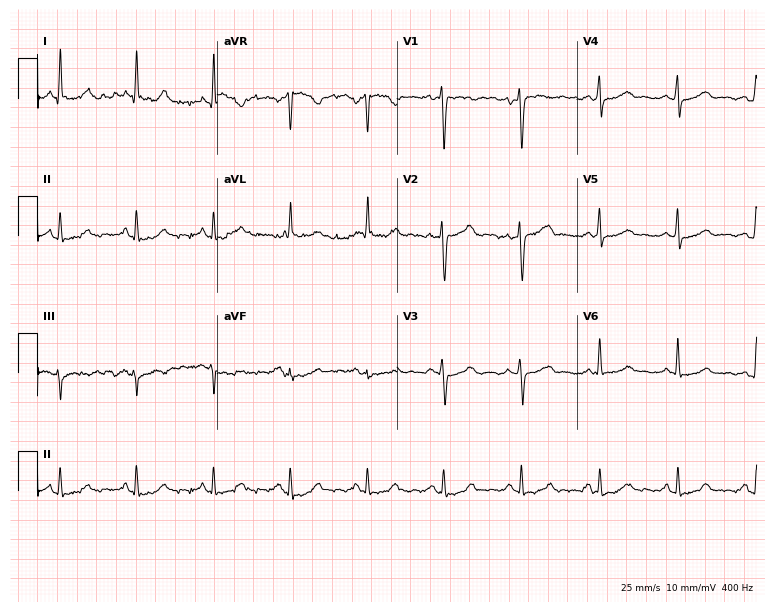
Standard 12-lead ECG recorded from a 43-year-old female patient (7.3-second recording at 400 Hz). Read as a normal ECG.